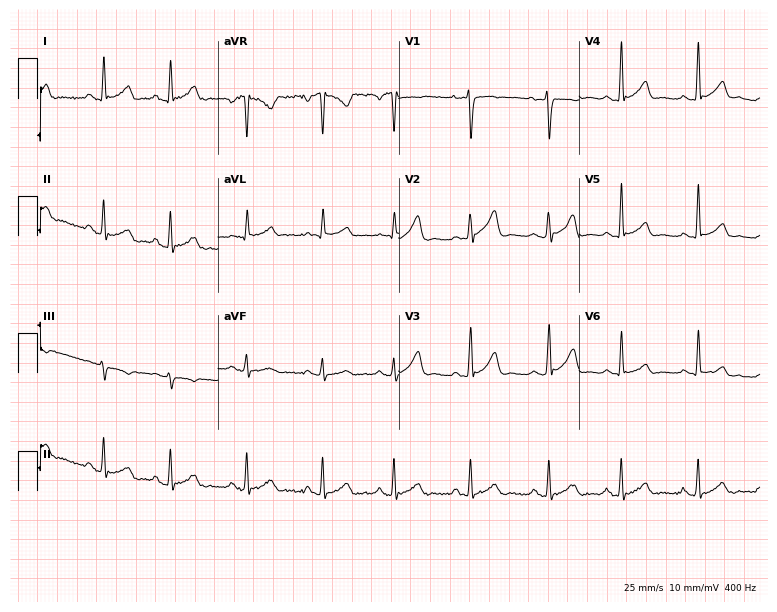
Standard 12-lead ECG recorded from a female patient, 38 years old. None of these six findings is recorded: first-degree AV block, right bundle branch block (RBBB), left bundle branch block (LBBB), sinus bradycardia, atrial fibrillation (AF), sinus tachycardia. Other findings, if any, are not listed.